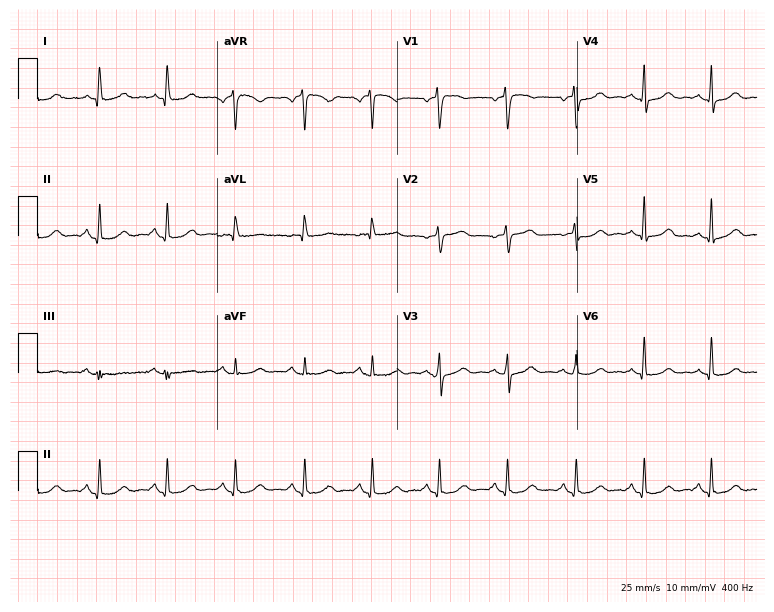
12-lead ECG (7.3-second recording at 400 Hz) from a 70-year-old female patient. Labelled as a normal ECG.